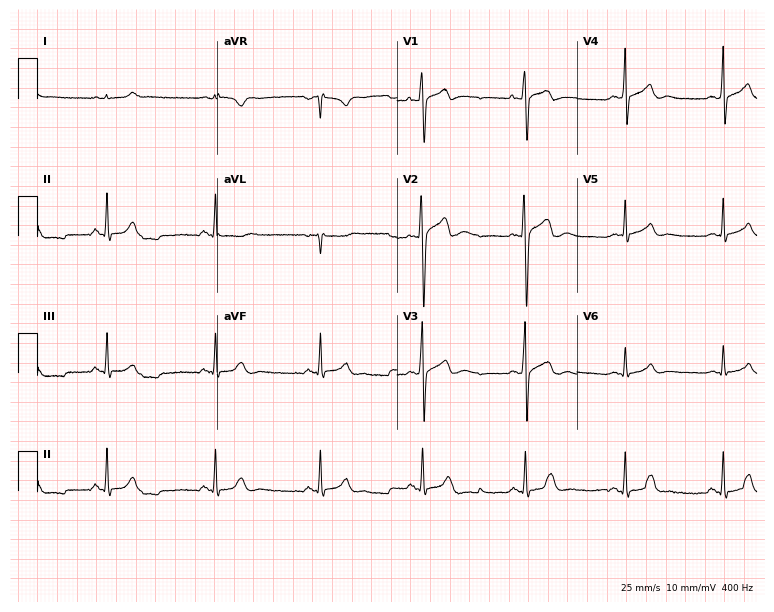
Electrocardiogram, a male patient, 26 years old. Overall reading on record: normal ECG.